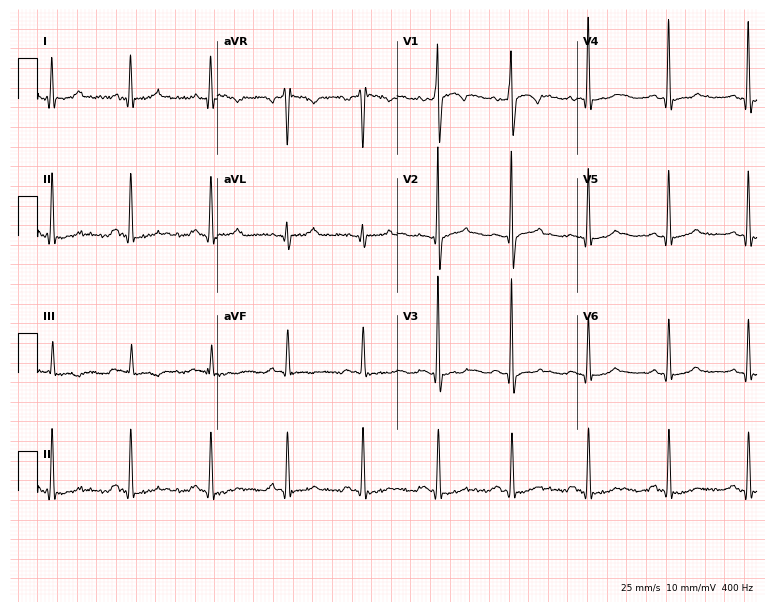
Standard 12-lead ECG recorded from a man, 45 years old. None of these six findings is recorded: first-degree AV block, right bundle branch block, left bundle branch block, sinus bradycardia, atrial fibrillation, sinus tachycardia. Findings outside these six are not listed.